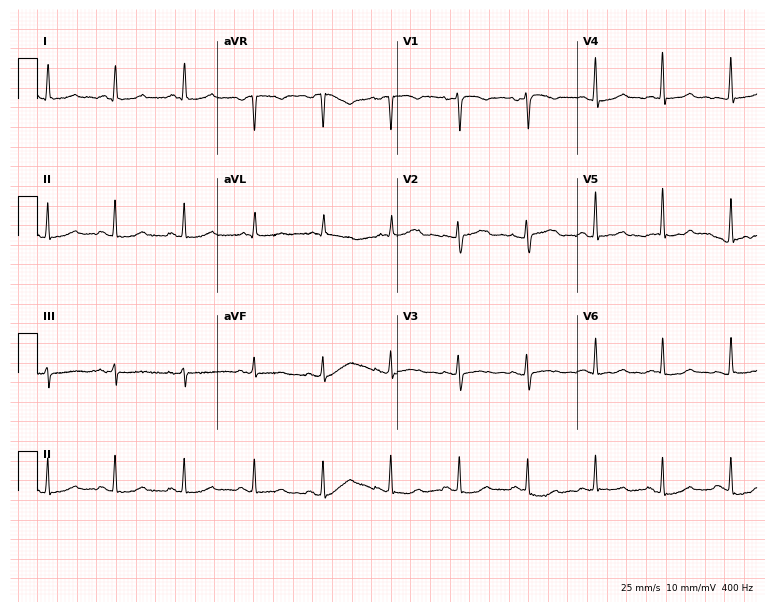
12-lead ECG from a 42-year-old female patient. No first-degree AV block, right bundle branch block (RBBB), left bundle branch block (LBBB), sinus bradycardia, atrial fibrillation (AF) or sinus tachycardia recorded for this tracing.